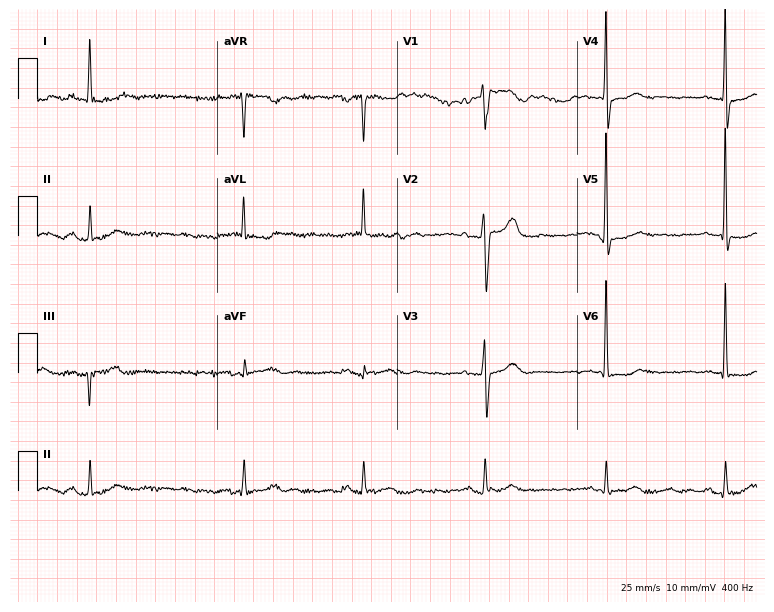
Resting 12-lead electrocardiogram (7.3-second recording at 400 Hz). Patient: a 78-year-old male. None of these six findings is recorded: first-degree AV block, right bundle branch block, left bundle branch block, sinus bradycardia, atrial fibrillation, sinus tachycardia. Findings outside these six are not listed.